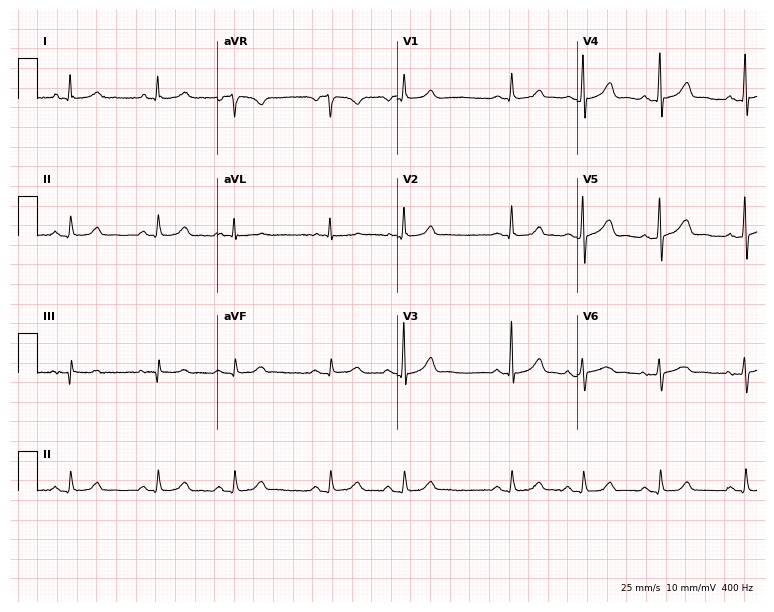
Electrocardiogram (7.3-second recording at 400 Hz), a 61-year-old female patient. Of the six screened findings (first-degree AV block, right bundle branch block, left bundle branch block, sinus bradycardia, atrial fibrillation, sinus tachycardia), none is recorded. Other findings, if any, are not listed.